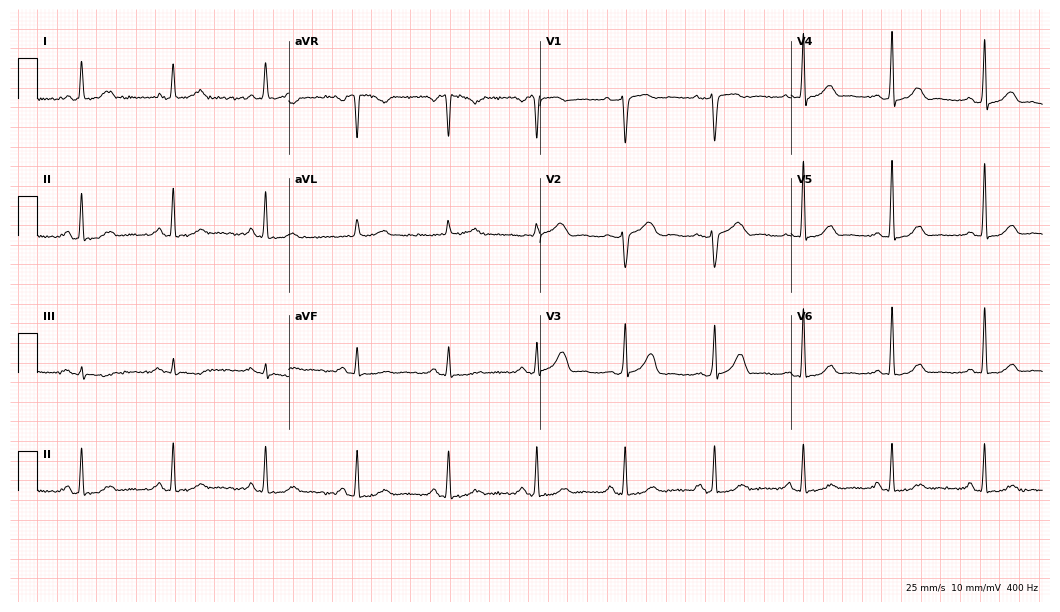
ECG — a female, 55 years old. Labelled as a normal ECG.